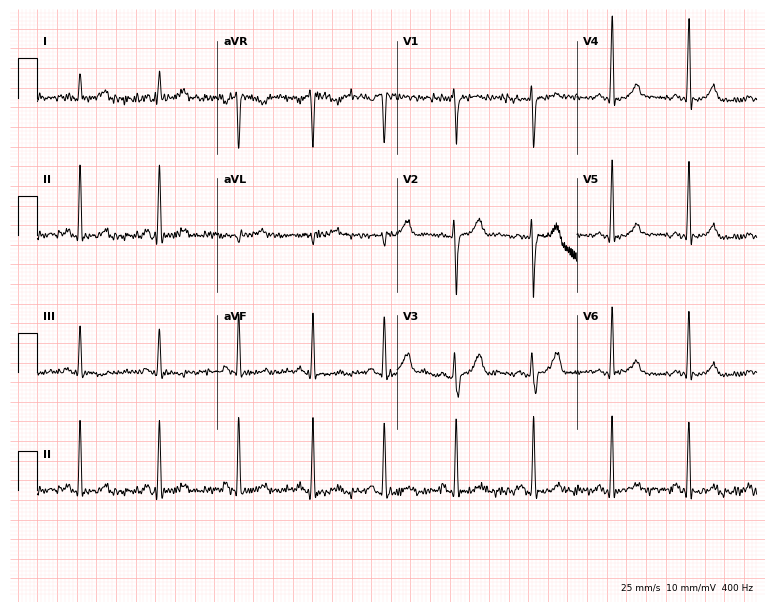
Resting 12-lead electrocardiogram. Patient: a female, 31 years old. Read as a normal ECG.